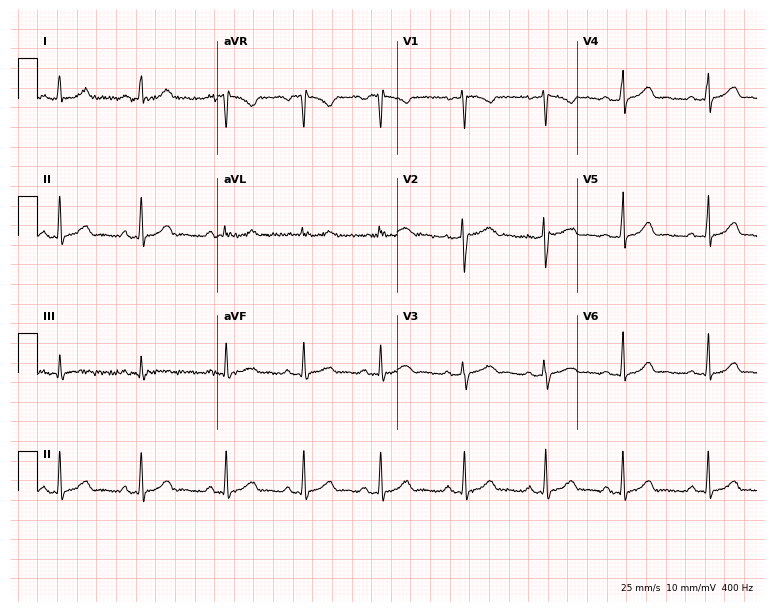
Standard 12-lead ECG recorded from a 26-year-old female patient. Read as a normal ECG.